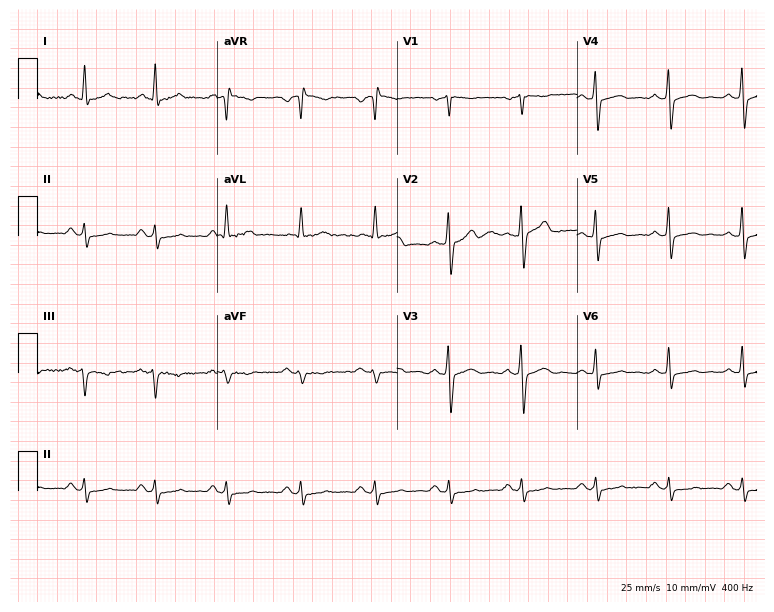
ECG (7.3-second recording at 400 Hz) — a male patient, 28 years old. Screened for six findings — first-degree AV block, right bundle branch block (RBBB), left bundle branch block (LBBB), sinus bradycardia, atrial fibrillation (AF), sinus tachycardia — none is recorded.